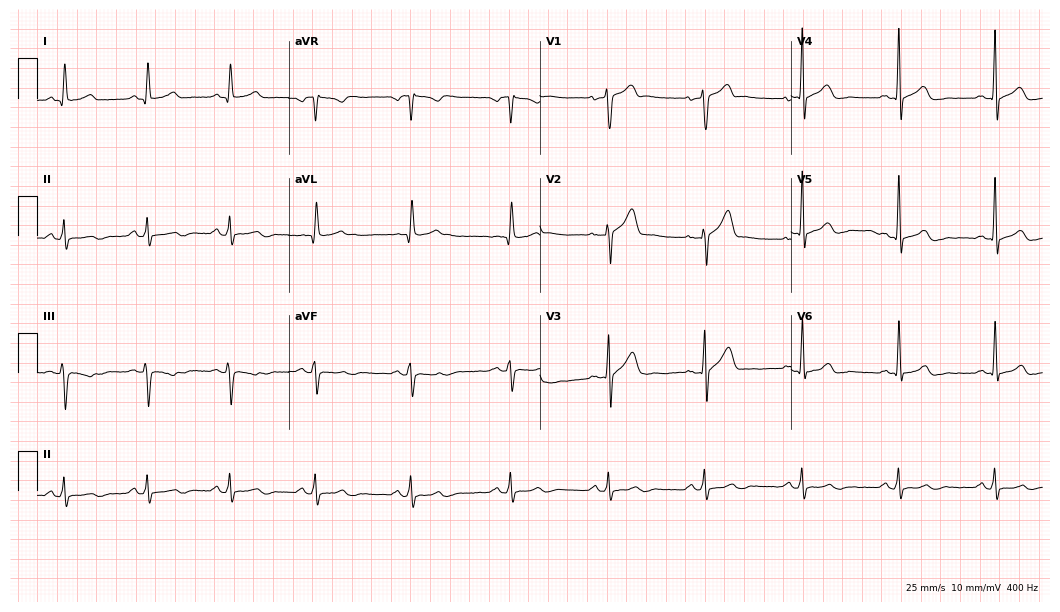
ECG (10.2-second recording at 400 Hz) — a 46-year-old male patient. Screened for six findings — first-degree AV block, right bundle branch block (RBBB), left bundle branch block (LBBB), sinus bradycardia, atrial fibrillation (AF), sinus tachycardia — none is recorded. Only these six findings were labelled.